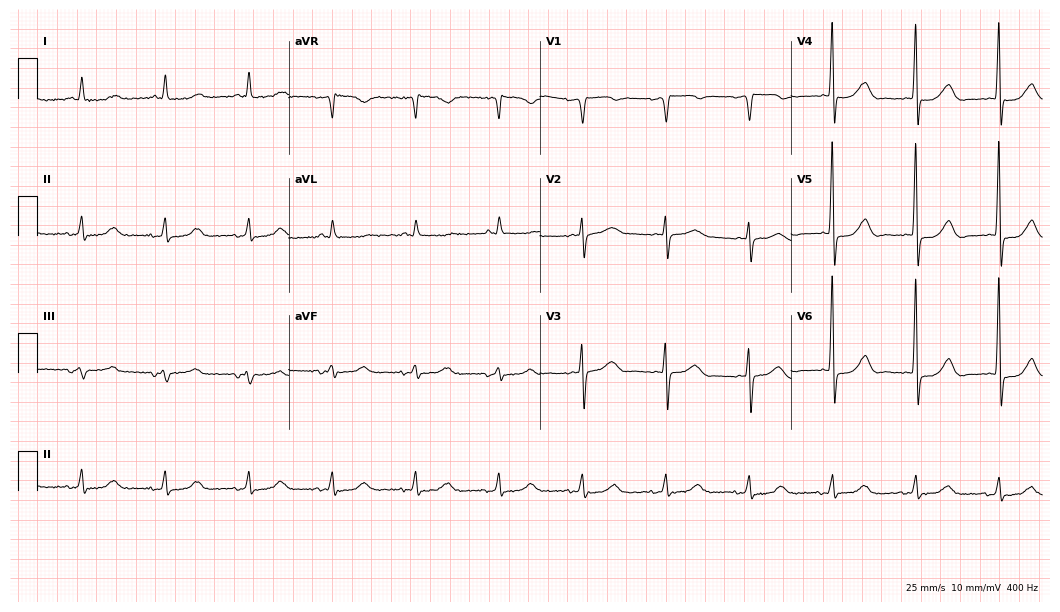
Electrocardiogram, an 83-year-old male. Overall reading on record: normal ECG.